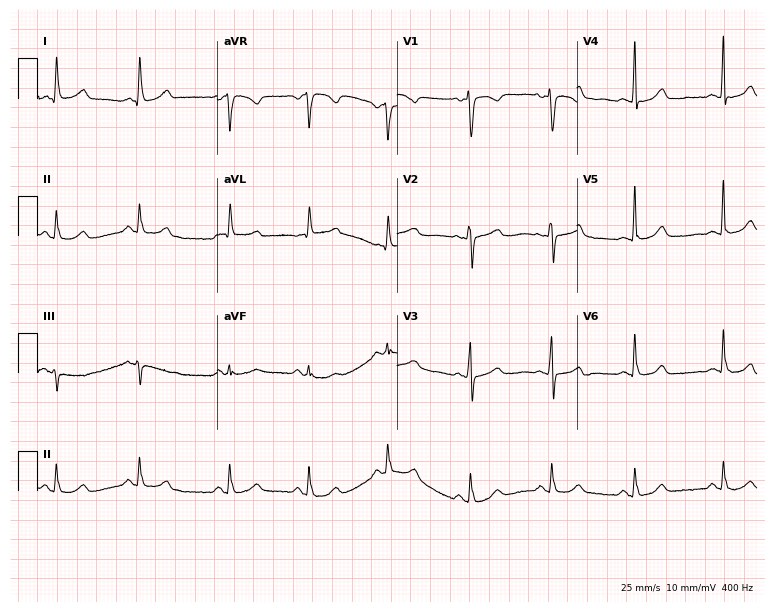
Electrocardiogram, a 55-year-old female. Overall reading on record: normal ECG.